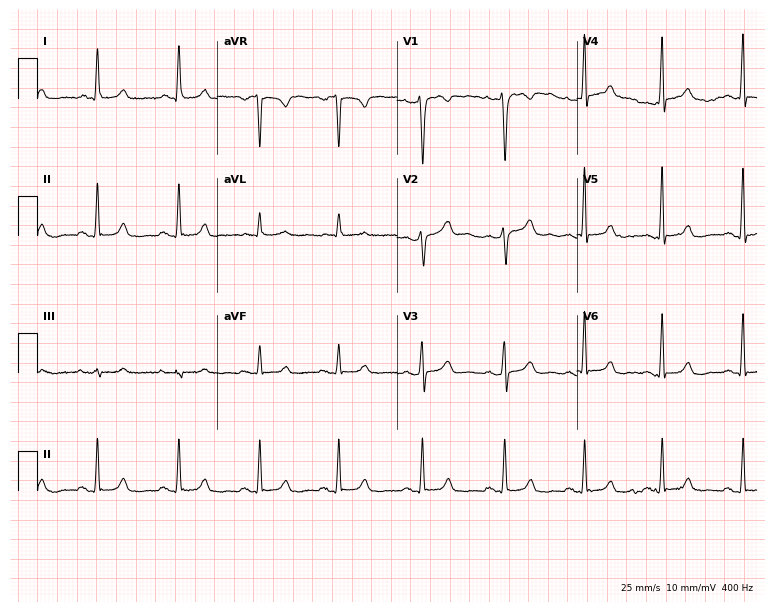
Standard 12-lead ECG recorded from a female patient, 56 years old (7.3-second recording at 400 Hz). Read as a normal ECG.